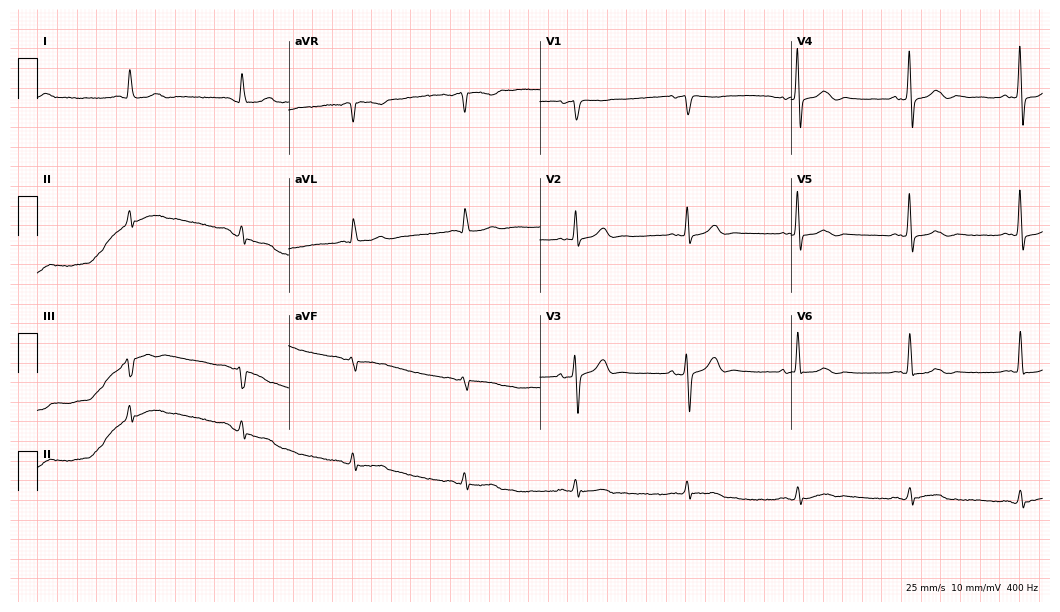
Resting 12-lead electrocardiogram. Patient: a man, 84 years old. Read as a normal ECG.